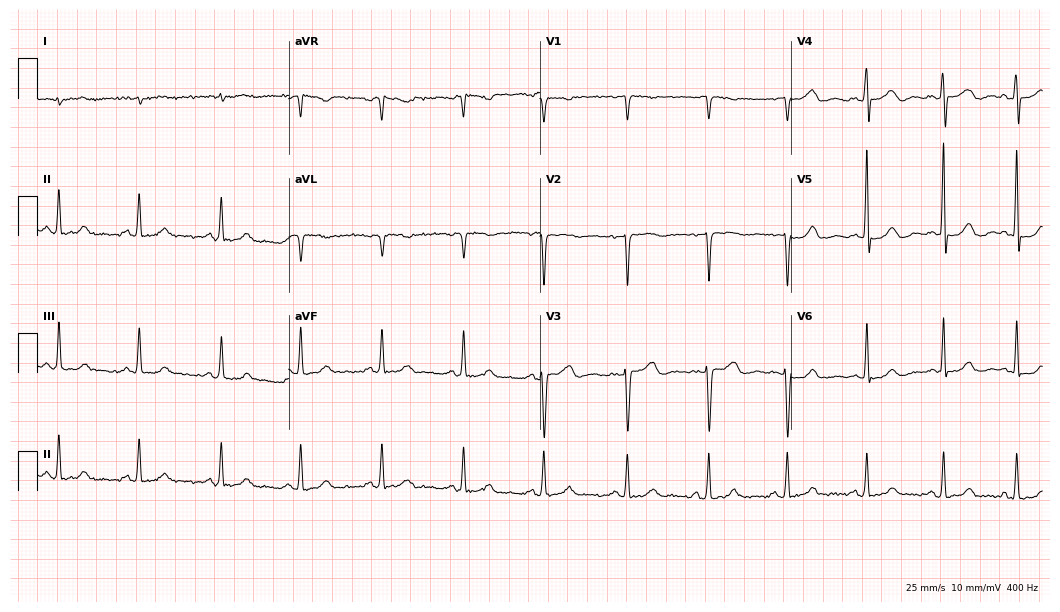
Electrocardiogram, a 33-year-old woman. Of the six screened findings (first-degree AV block, right bundle branch block (RBBB), left bundle branch block (LBBB), sinus bradycardia, atrial fibrillation (AF), sinus tachycardia), none is recorded.